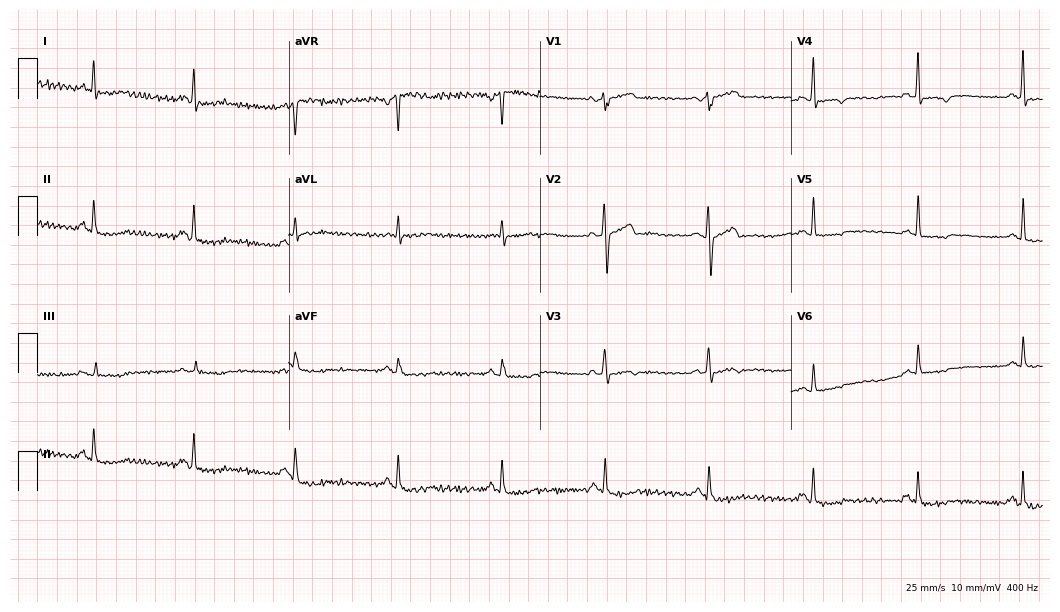
Standard 12-lead ECG recorded from a male, 62 years old (10.2-second recording at 400 Hz). None of these six findings is recorded: first-degree AV block, right bundle branch block (RBBB), left bundle branch block (LBBB), sinus bradycardia, atrial fibrillation (AF), sinus tachycardia.